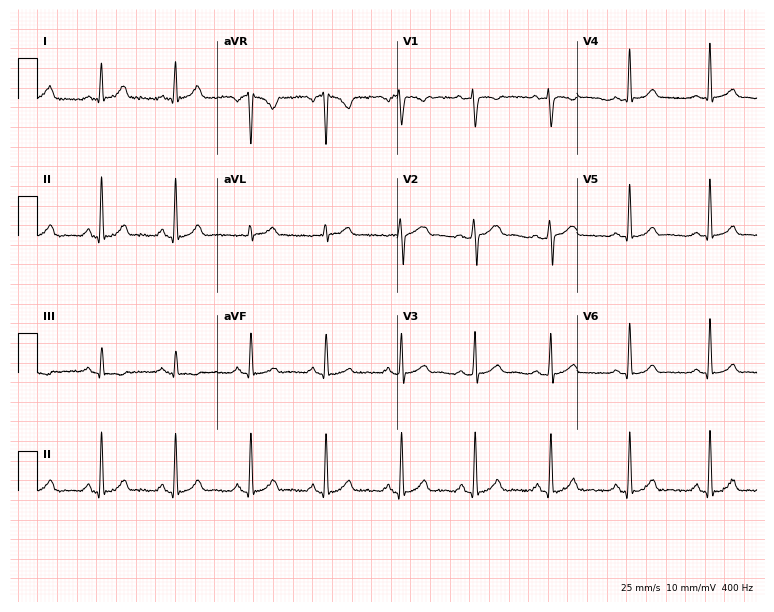
12-lead ECG from a male, 34 years old (7.3-second recording at 400 Hz). No first-degree AV block, right bundle branch block, left bundle branch block, sinus bradycardia, atrial fibrillation or sinus tachycardia recorded for this tracing. Only these six findings were labelled.